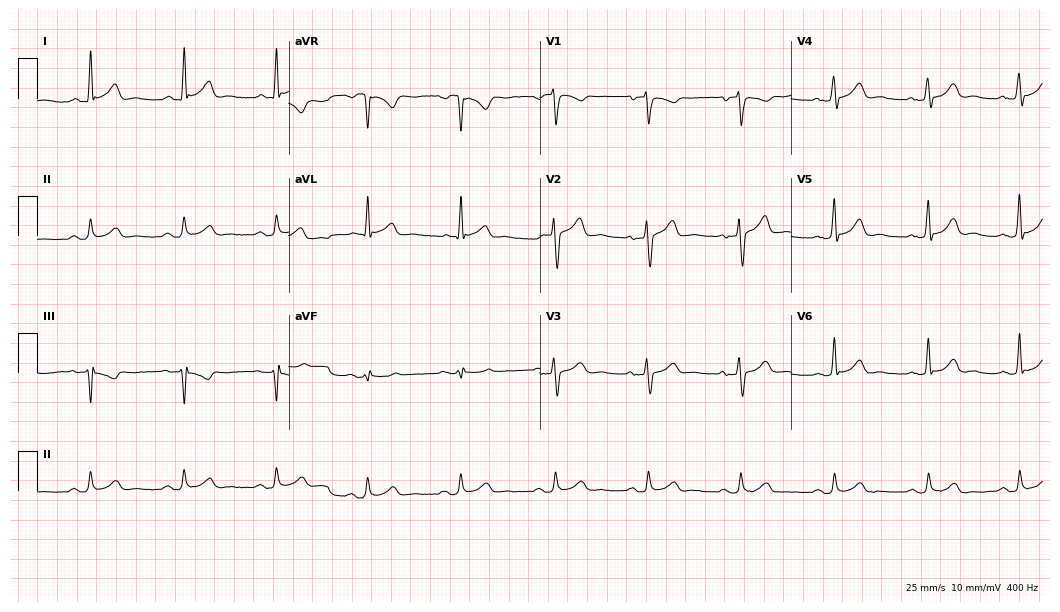
Resting 12-lead electrocardiogram (10.2-second recording at 400 Hz). Patient: a 50-year-old male. Read as a normal ECG.